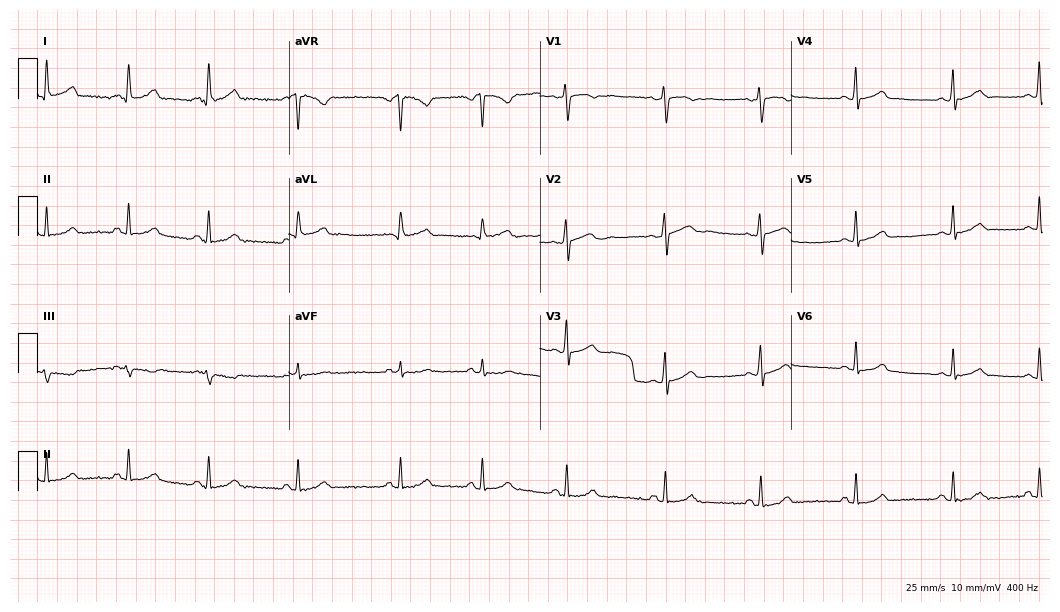
12-lead ECG from a female patient, 20 years old. Labelled as a normal ECG.